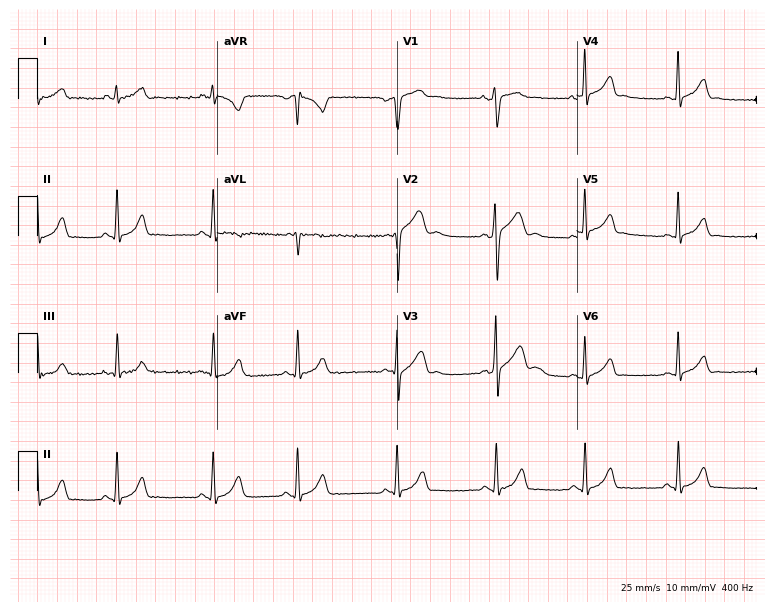
ECG — a 21-year-old man. Screened for six findings — first-degree AV block, right bundle branch block, left bundle branch block, sinus bradycardia, atrial fibrillation, sinus tachycardia — none is recorded. Other findings, if any, are not listed.